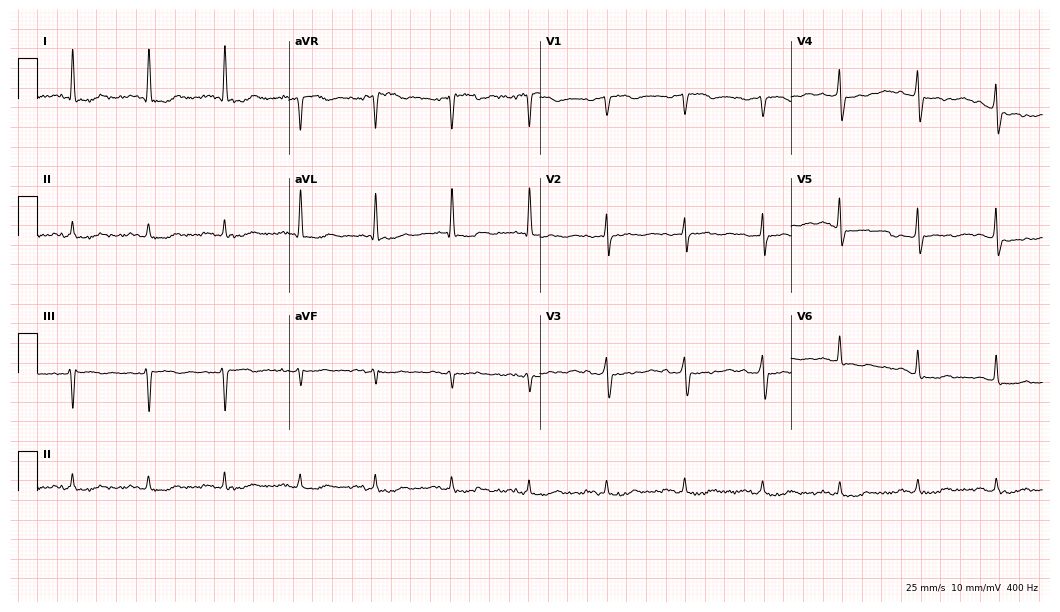
Resting 12-lead electrocardiogram. Patient: a male, 79 years old. None of these six findings is recorded: first-degree AV block, right bundle branch block (RBBB), left bundle branch block (LBBB), sinus bradycardia, atrial fibrillation (AF), sinus tachycardia. Only these six findings were labelled.